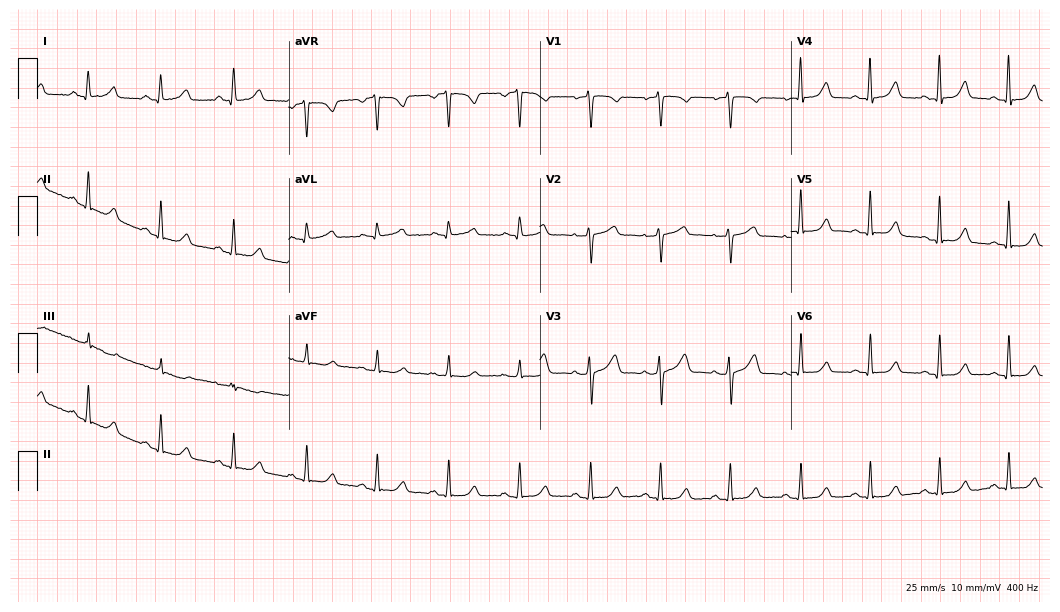
12-lead ECG from a 48-year-old female patient (10.2-second recording at 400 Hz). Recorded interpretation: within normal limits.